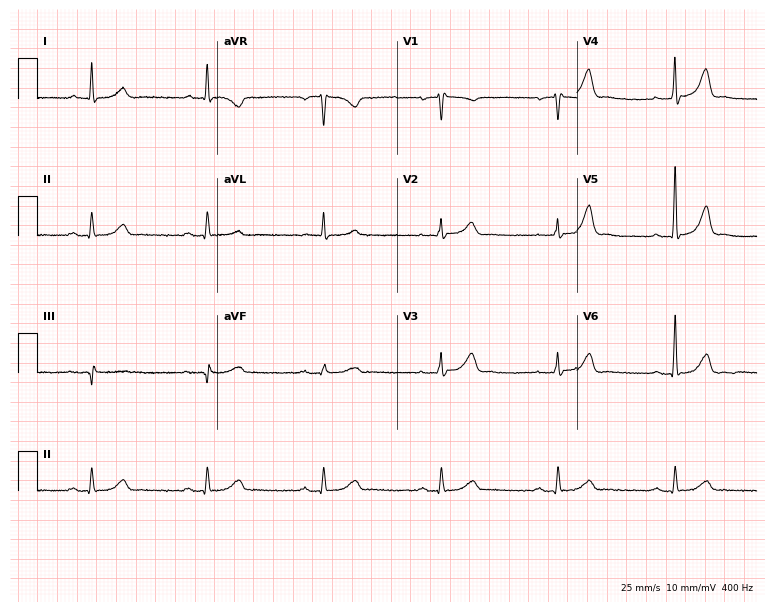
Resting 12-lead electrocardiogram (7.3-second recording at 400 Hz). Patient: a 53-year-old male. None of these six findings is recorded: first-degree AV block, right bundle branch block (RBBB), left bundle branch block (LBBB), sinus bradycardia, atrial fibrillation (AF), sinus tachycardia.